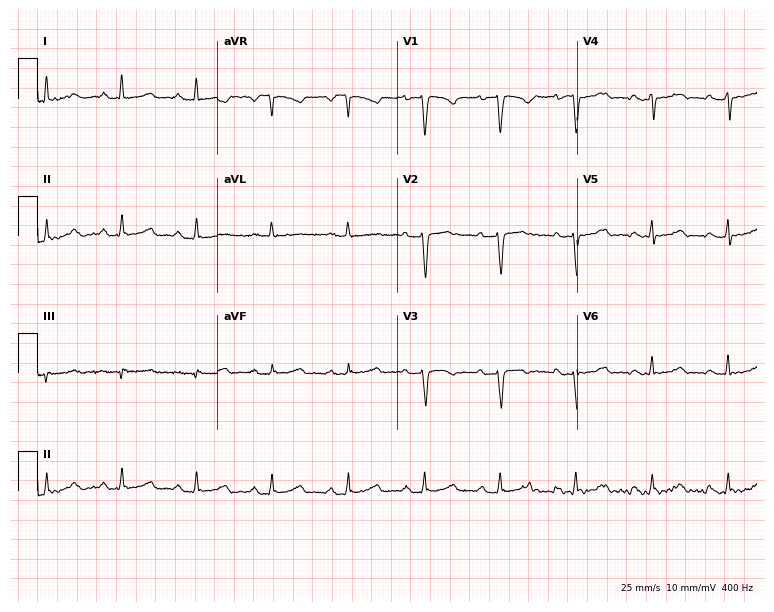
ECG — a 37-year-old woman. Screened for six findings — first-degree AV block, right bundle branch block (RBBB), left bundle branch block (LBBB), sinus bradycardia, atrial fibrillation (AF), sinus tachycardia — none is recorded.